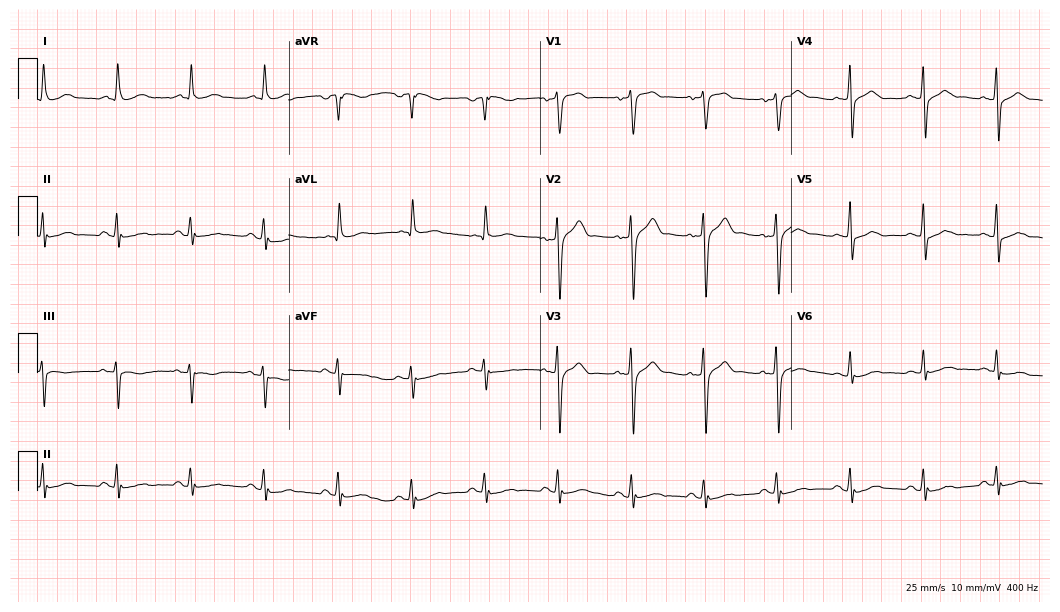
12-lead ECG from a 70-year-old female. Recorded interpretation: within normal limits.